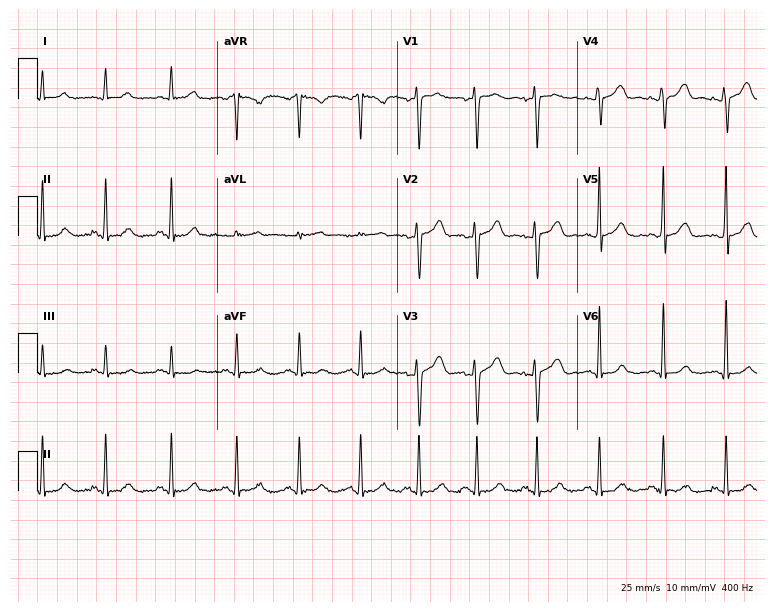
Standard 12-lead ECG recorded from a female, 39 years old. Read as a normal ECG.